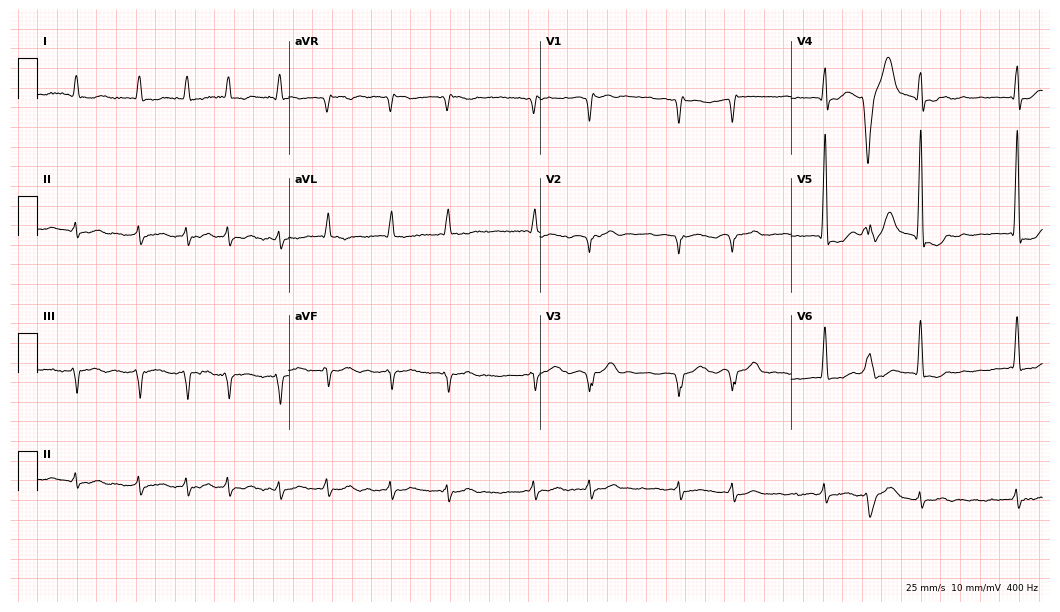
Resting 12-lead electrocardiogram (10.2-second recording at 400 Hz). Patient: an 84-year-old male. None of these six findings is recorded: first-degree AV block, right bundle branch block, left bundle branch block, sinus bradycardia, atrial fibrillation, sinus tachycardia.